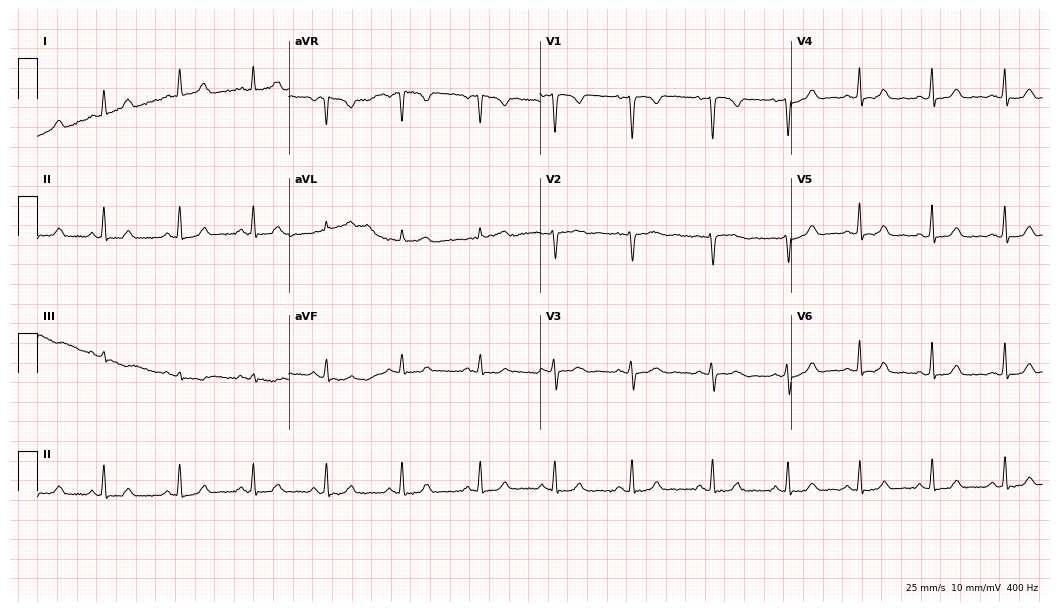
Standard 12-lead ECG recorded from a woman, 30 years old. Read as a normal ECG.